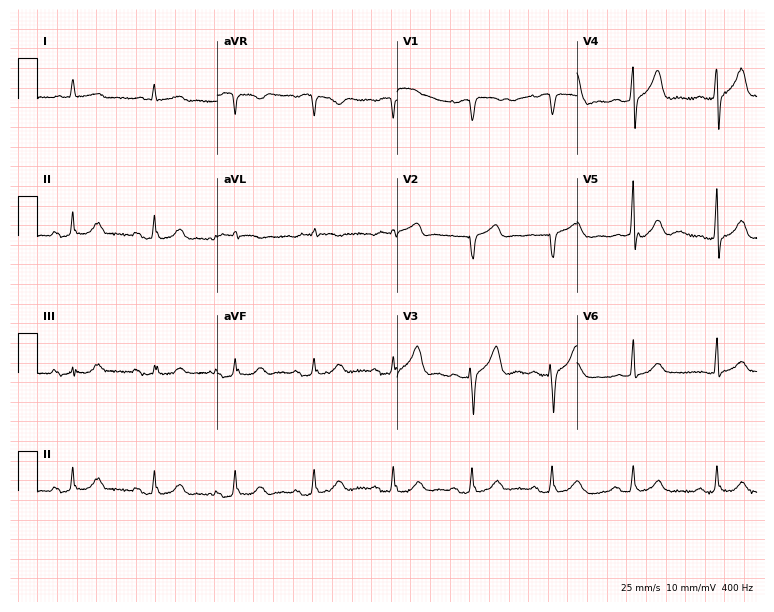
Electrocardiogram, a 77-year-old male patient. Overall reading on record: normal ECG.